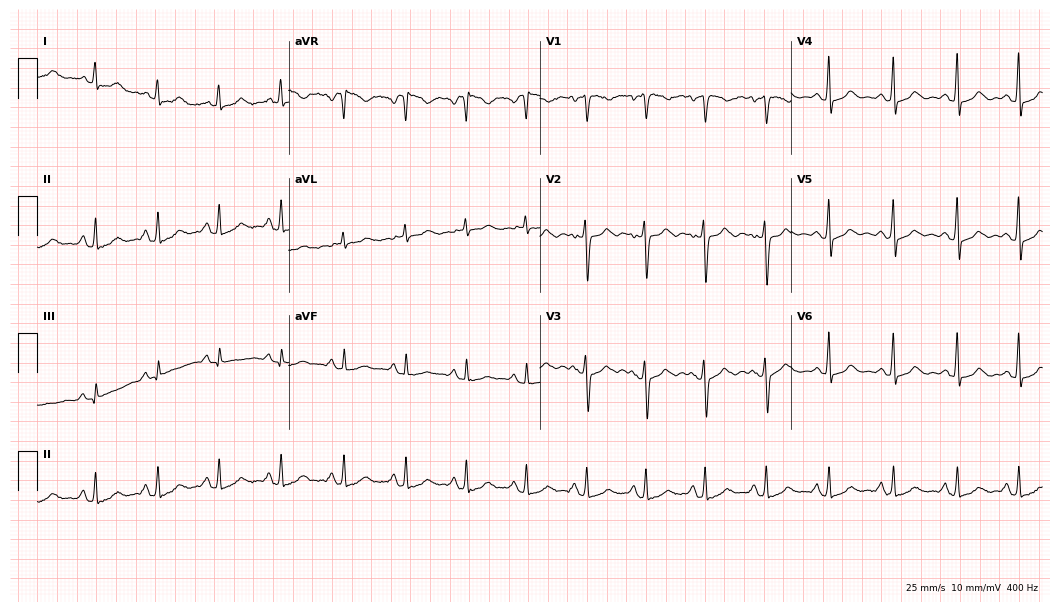
12-lead ECG from a female, 46 years old (10.2-second recording at 400 Hz). Recorded interpretation: within normal limits.